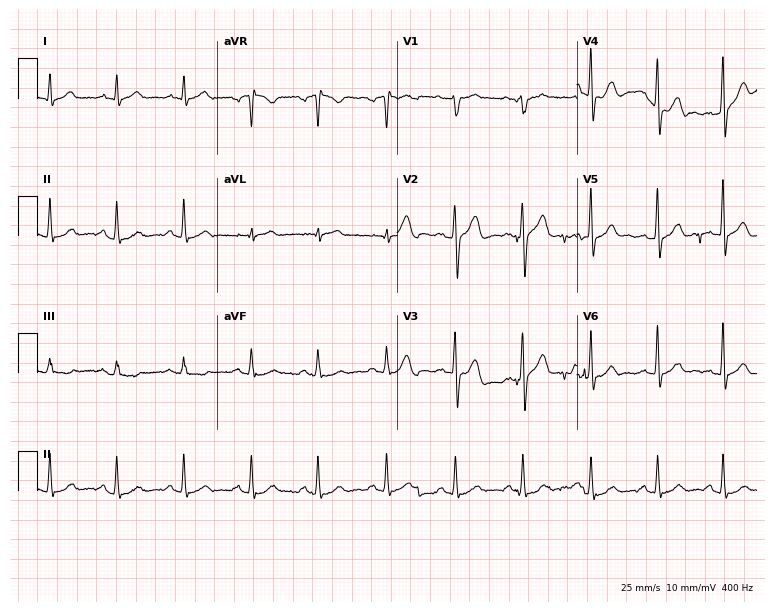
Standard 12-lead ECG recorded from a 42-year-old male (7.3-second recording at 400 Hz). Read as a normal ECG.